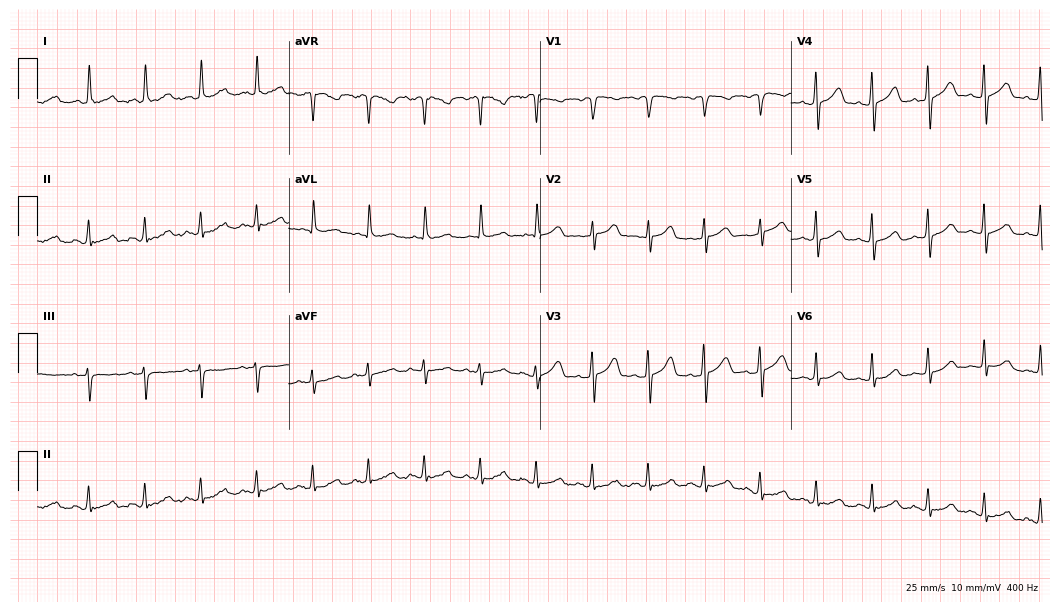
12-lead ECG from a female, 70 years old (10.2-second recording at 400 Hz). Shows sinus tachycardia (a sinus rate of 100 beats per minute or more).